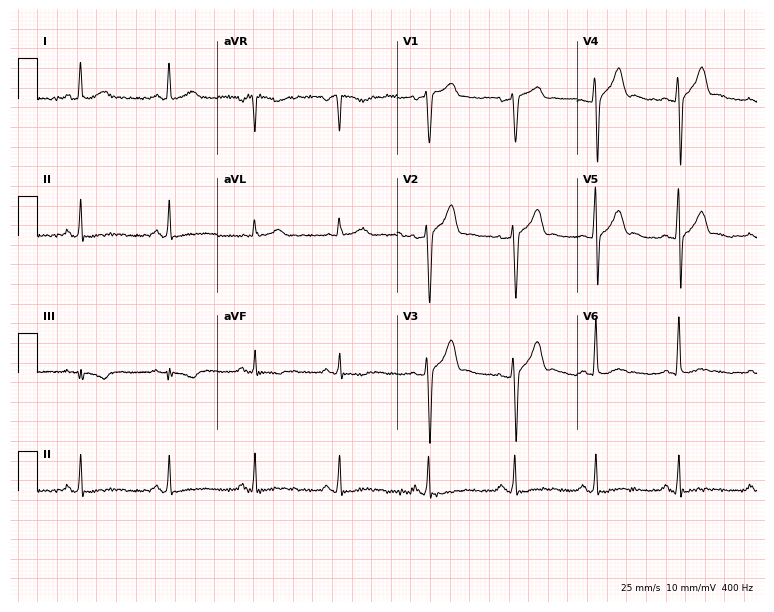
12-lead ECG from a 33-year-old male patient. Recorded interpretation: within normal limits.